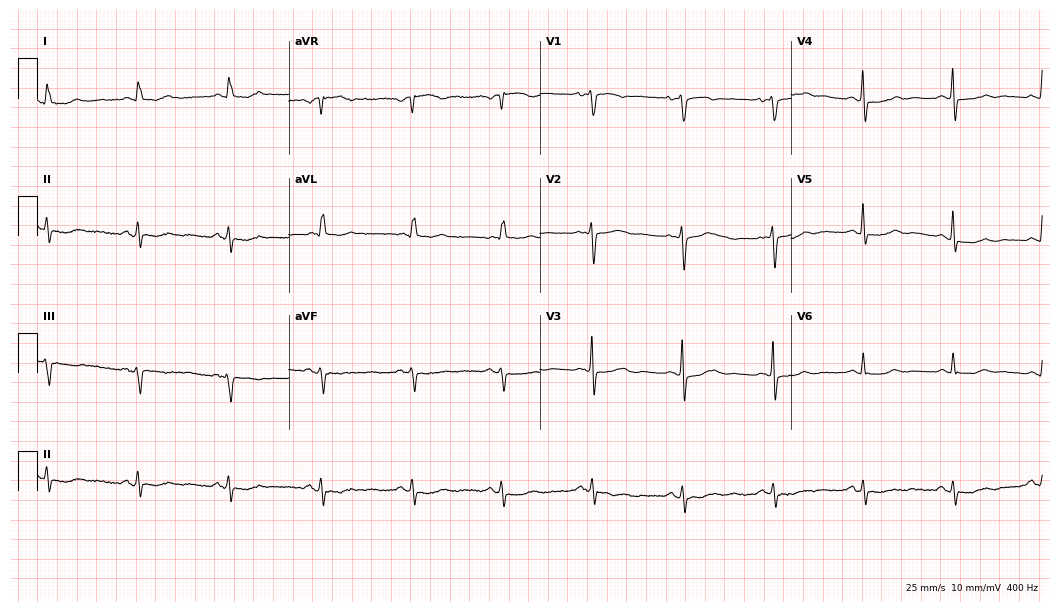
12-lead ECG from a 77-year-old female patient. No first-degree AV block, right bundle branch block (RBBB), left bundle branch block (LBBB), sinus bradycardia, atrial fibrillation (AF) or sinus tachycardia recorded for this tracing. Only these six findings were labelled.